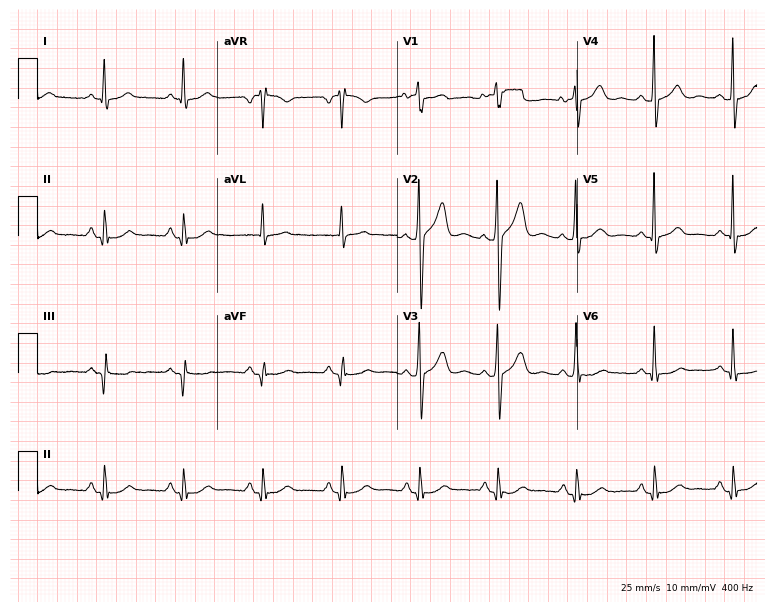
12-lead ECG from a 58-year-old male patient. No first-degree AV block, right bundle branch block (RBBB), left bundle branch block (LBBB), sinus bradycardia, atrial fibrillation (AF) or sinus tachycardia recorded for this tracing. Other findings, if any, are not listed.